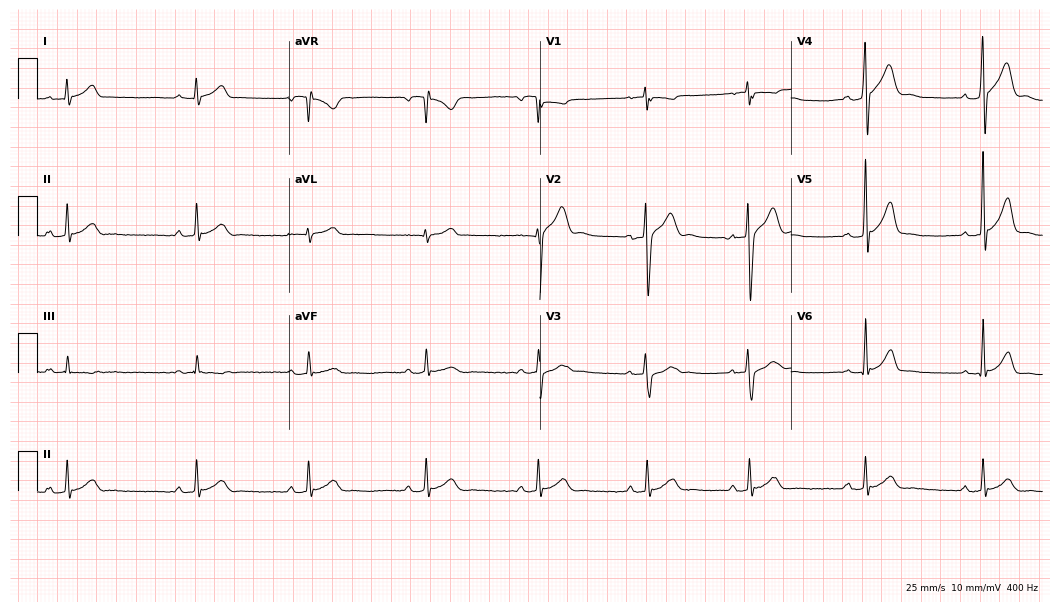
12-lead ECG from a 24-year-old woman (10.2-second recording at 400 Hz). Recorded interpretation: within normal limits.